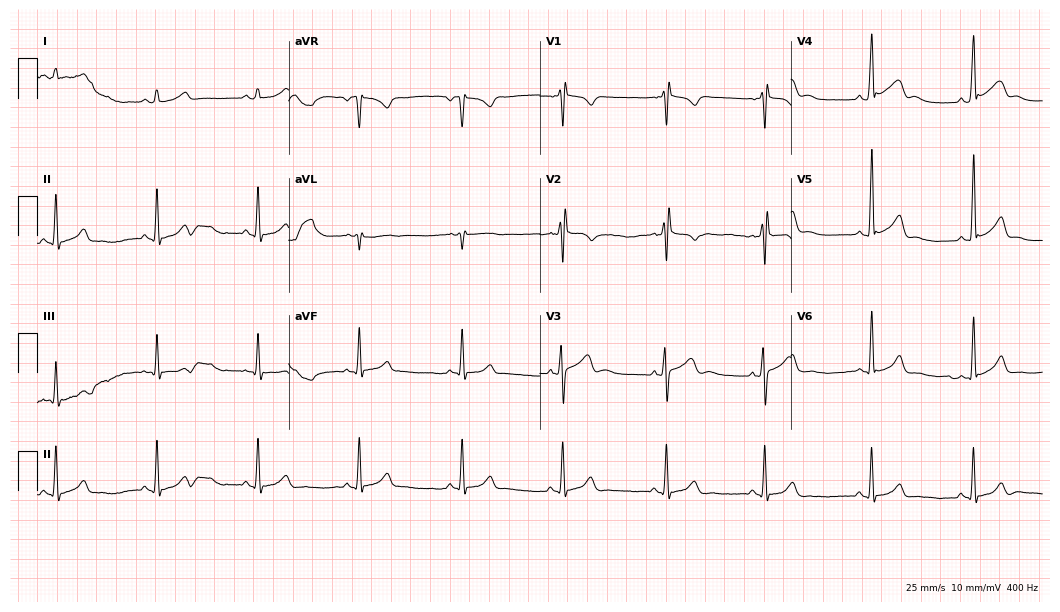
12-lead ECG from a male, 27 years old (10.2-second recording at 400 Hz). Recorded interpretation: within normal limits.